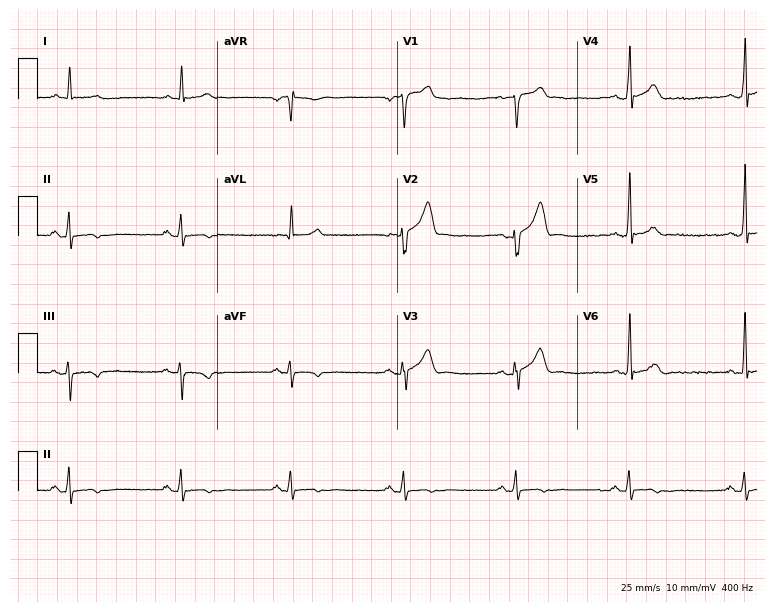
12-lead ECG (7.3-second recording at 400 Hz) from a male patient, 45 years old. Screened for six findings — first-degree AV block, right bundle branch block, left bundle branch block, sinus bradycardia, atrial fibrillation, sinus tachycardia — none is recorded.